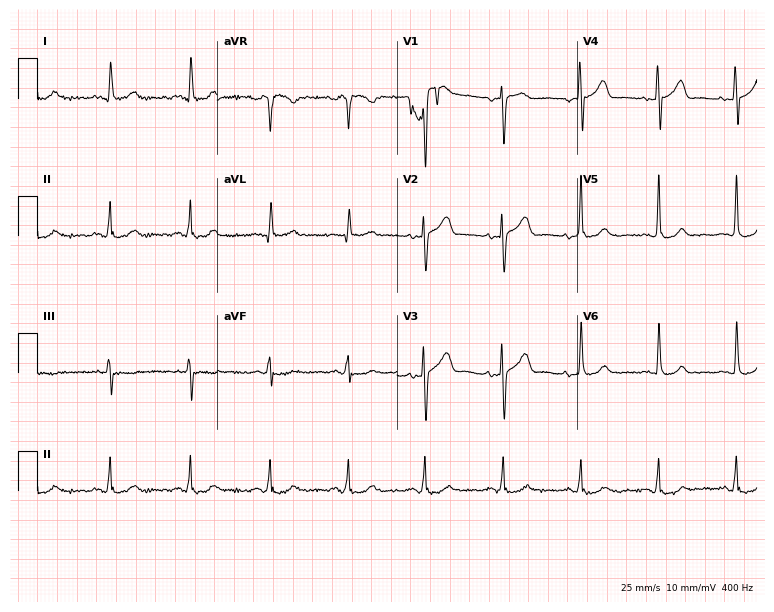
Electrocardiogram (7.3-second recording at 400 Hz), a 48-year-old female. Of the six screened findings (first-degree AV block, right bundle branch block, left bundle branch block, sinus bradycardia, atrial fibrillation, sinus tachycardia), none is recorded. Other findings, if any, are not listed.